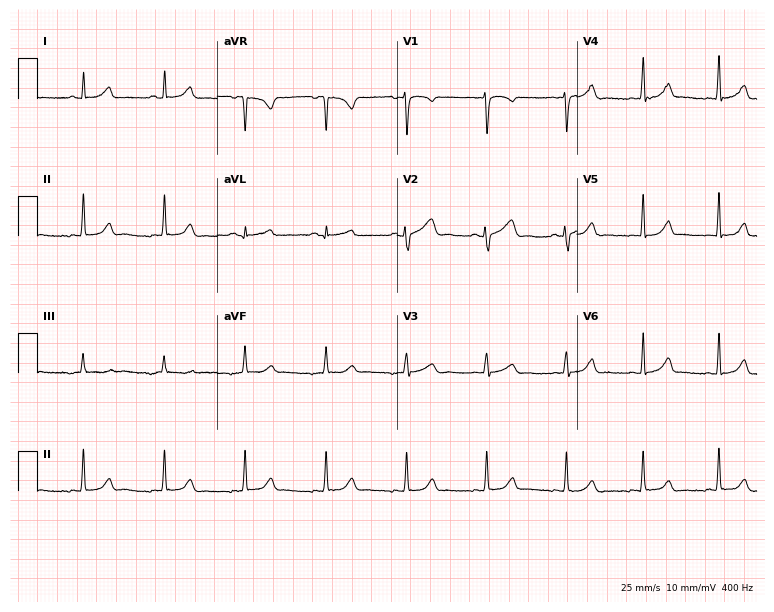
Resting 12-lead electrocardiogram (7.3-second recording at 400 Hz). Patient: a female, 24 years old. Read as a normal ECG.